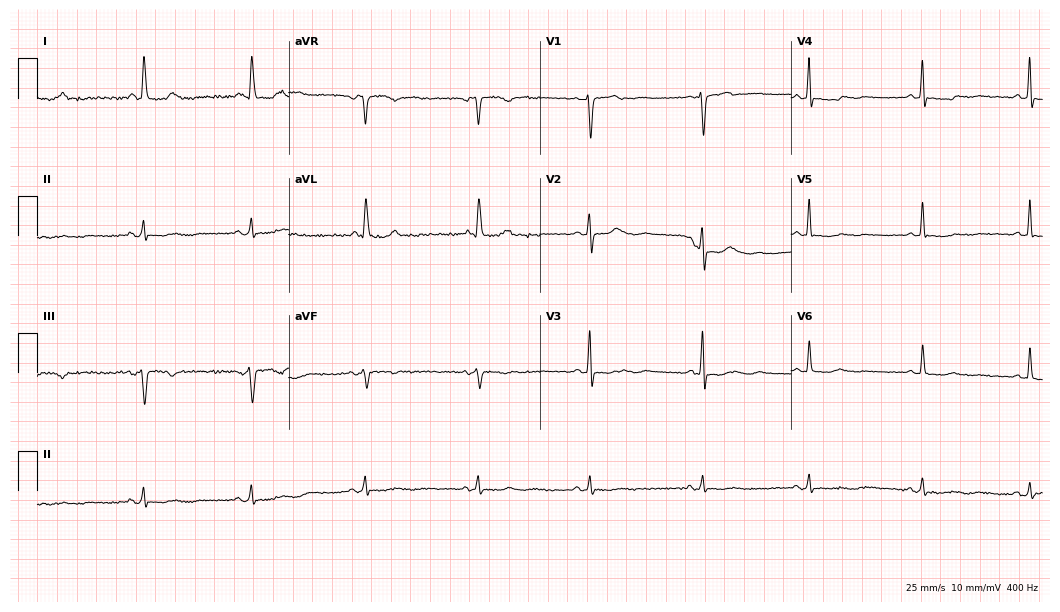
12-lead ECG from a female patient, 62 years old (10.2-second recording at 400 Hz). No first-degree AV block, right bundle branch block (RBBB), left bundle branch block (LBBB), sinus bradycardia, atrial fibrillation (AF) or sinus tachycardia recorded for this tracing.